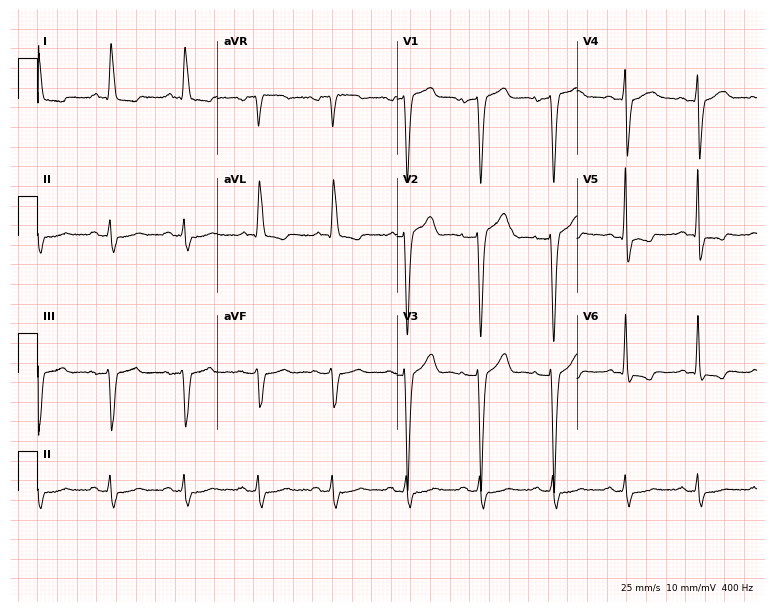
12-lead ECG from a 78-year-old man. No first-degree AV block, right bundle branch block (RBBB), left bundle branch block (LBBB), sinus bradycardia, atrial fibrillation (AF) or sinus tachycardia recorded for this tracing. Other findings, if any, are not listed.